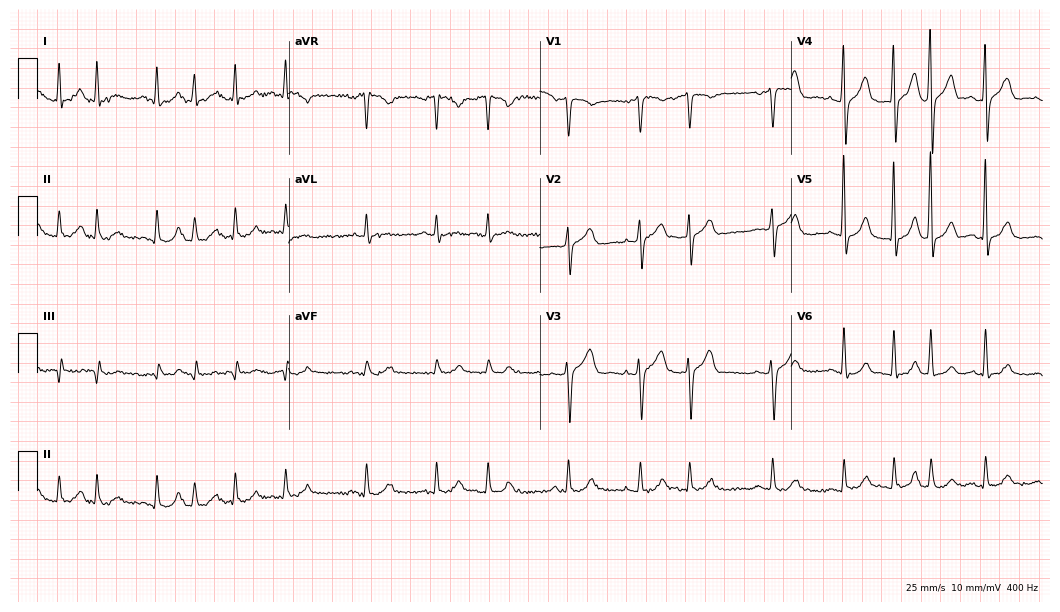
12-lead ECG from a 73-year-old male patient (10.2-second recording at 400 Hz). No first-degree AV block, right bundle branch block, left bundle branch block, sinus bradycardia, atrial fibrillation or sinus tachycardia recorded for this tracing.